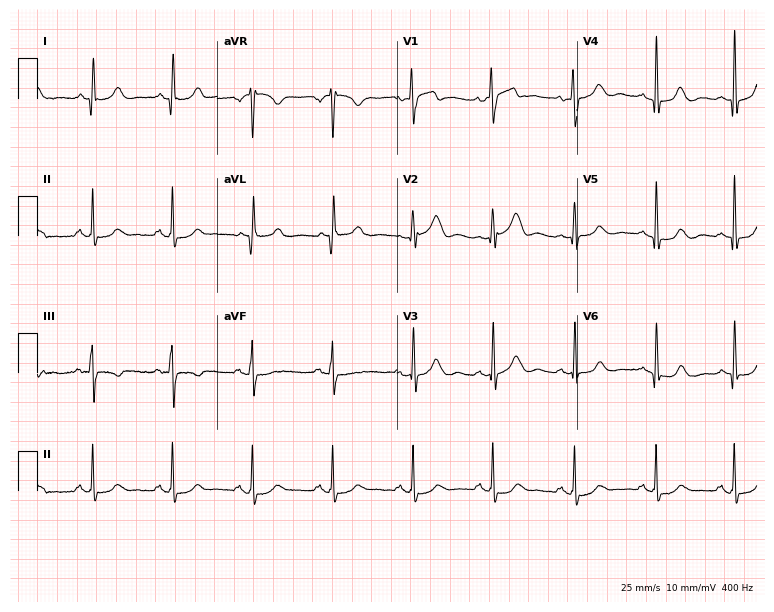
12-lead ECG (7.3-second recording at 400 Hz) from a 59-year-old woman. Labelled as a normal ECG.